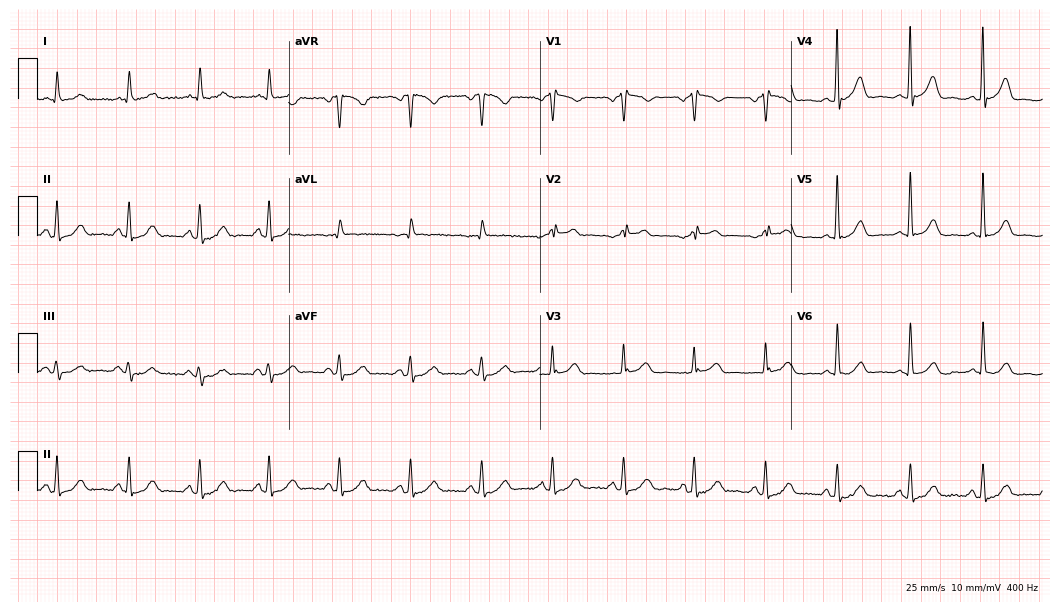
12-lead ECG from a 78-year-old man (10.2-second recording at 400 Hz). Recorded interpretation: within normal limits.